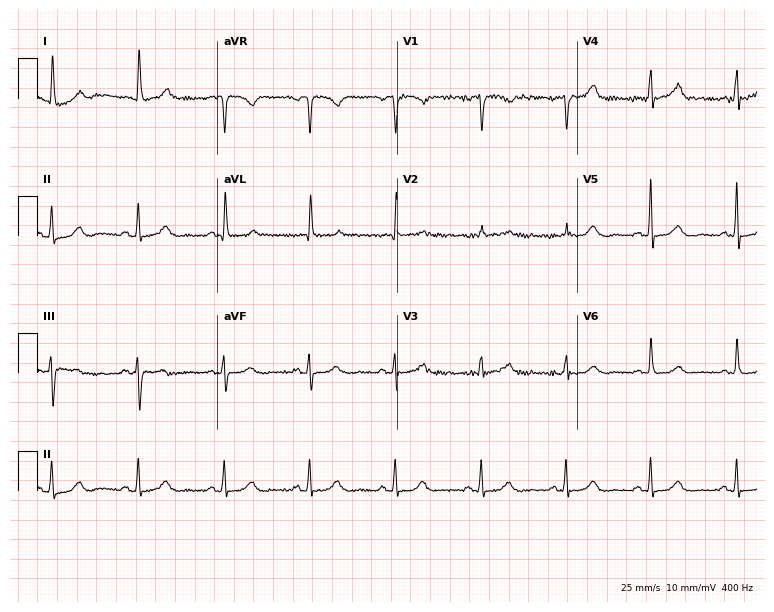
12-lead ECG (7.3-second recording at 400 Hz) from a 77-year-old woman. Labelled as a normal ECG.